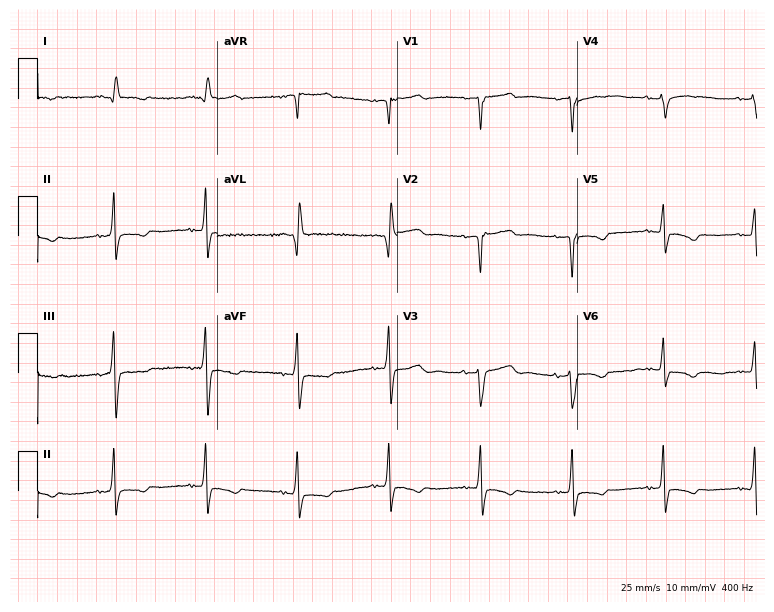
ECG (7.3-second recording at 400 Hz) — a 59-year-old woman. Screened for six findings — first-degree AV block, right bundle branch block, left bundle branch block, sinus bradycardia, atrial fibrillation, sinus tachycardia — none is recorded. Other findings, if any, are not listed.